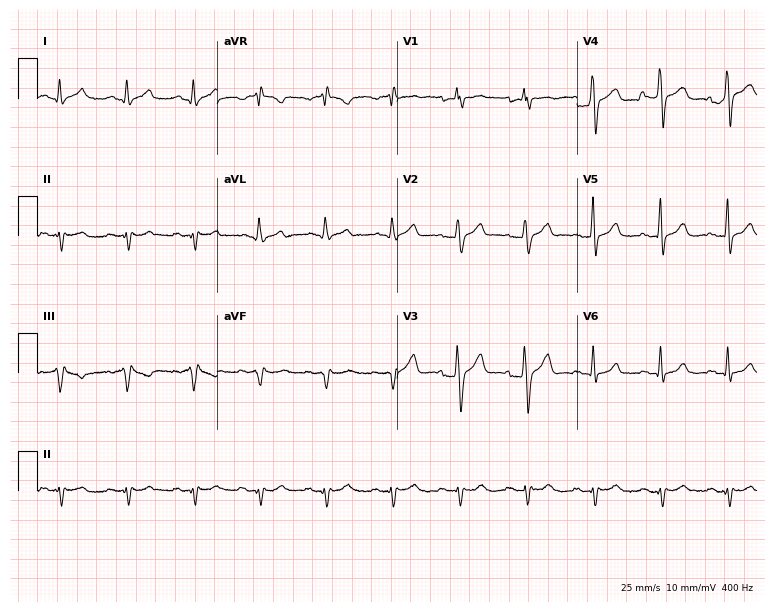
Resting 12-lead electrocardiogram (7.3-second recording at 400 Hz). Patient: a 60-year-old male. None of these six findings is recorded: first-degree AV block, right bundle branch block, left bundle branch block, sinus bradycardia, atrial fibrillation, sinus tachycardia.